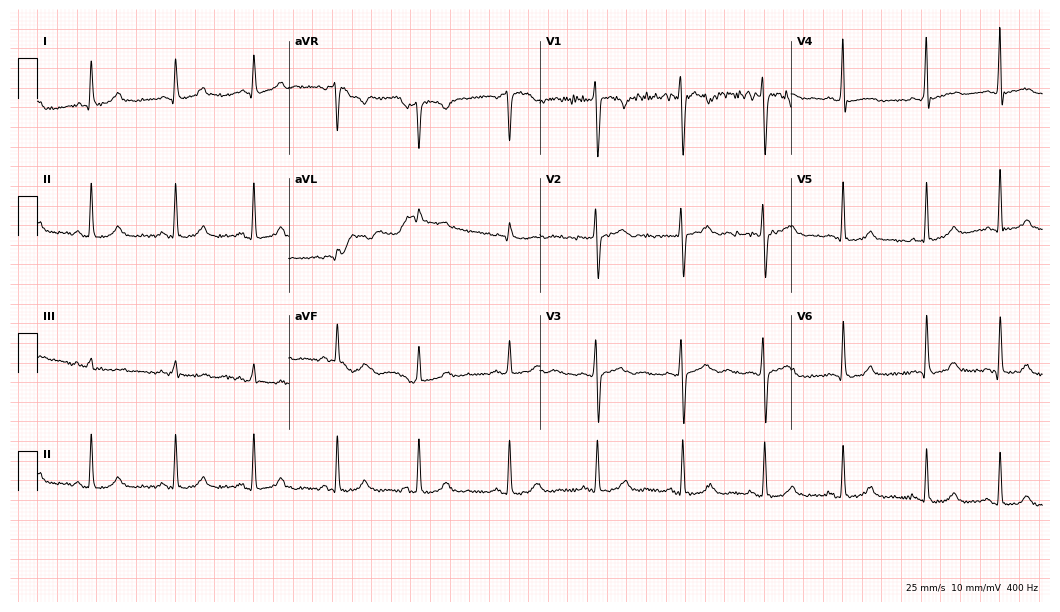
ECG (10.2-second recording at 400 Hz) — a 47-year-old male patient. Labelled as a normal ECG.